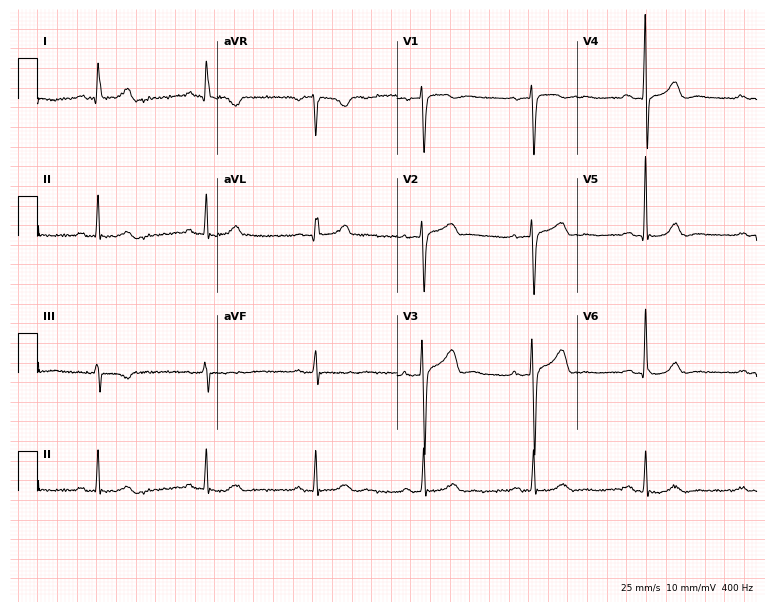
Resting 12-lead electrocardiogram. Patient: a 49-year-old male. None of these six findings is recorded: first-degree AV block, right bundle branch block, left bundle branch block, sinus bradycardia, atrial fibrillation, sinus tachycardia.